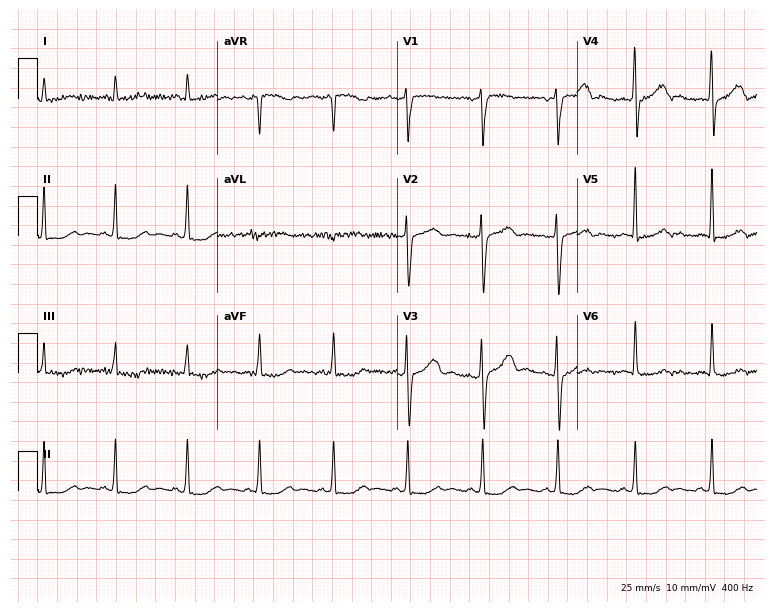
ECG (7.3-second recording at 400 Hz) — a 41-year-old man. Screened for six findings — first-degree AV block, right bundle branch block, left bundle branch block, sinus bradycardia, atrial fibrillation, sinus tachycardia — none is recorded. Findings outside these six are not listed.